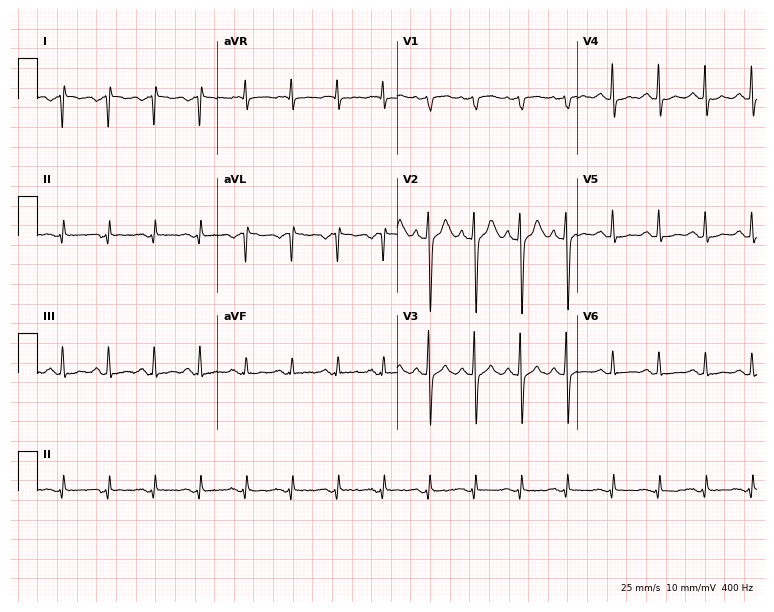
12-lead ECG from a 43-year-old female. Screened for six findings — first-degree AV block, right bundle branch block (RBBB), left bundle branch block (LBBB), sinus bradycardia, atrial fibrillation (AF), sinus tachycardia — none is recorded. Only these six findings were labelled.